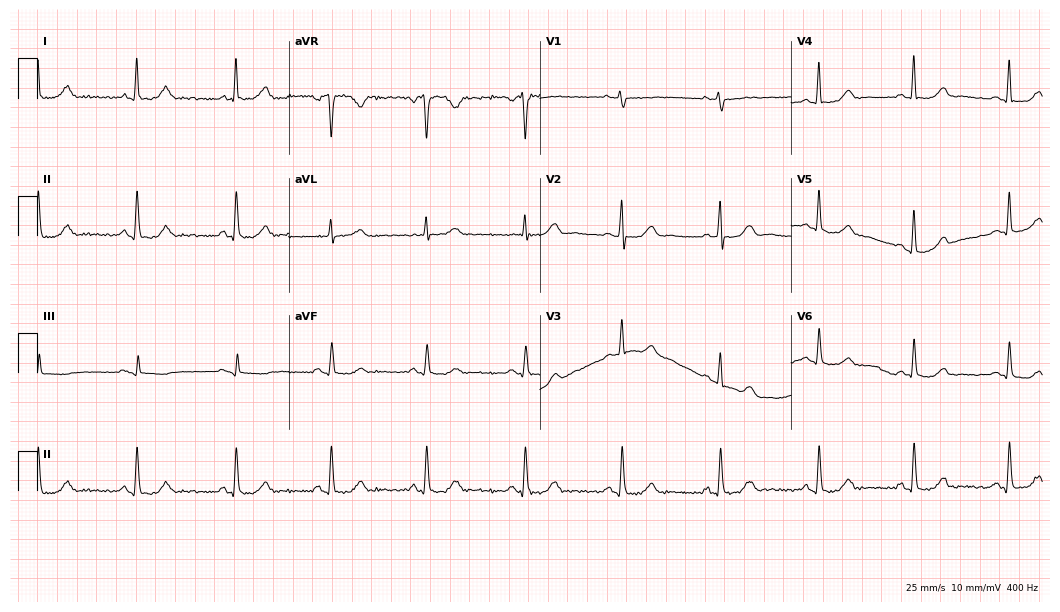
Standard 12-lead ECG recorded from a 72-year-old female patient (10.2-second recording at 400 Hz). Read as a normal ECG.